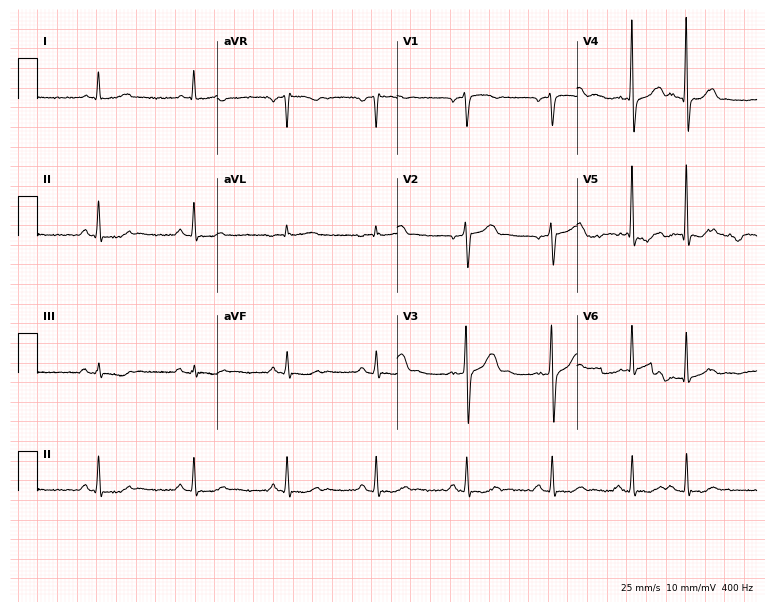
12-lead ECG from a man, 65 years old. Screened for six findings — first-degree AV block, right bundle branch block, left bundle branch block, sinus bradycardia, atrial fibrillation, sinus tachycardia — none is recorded.